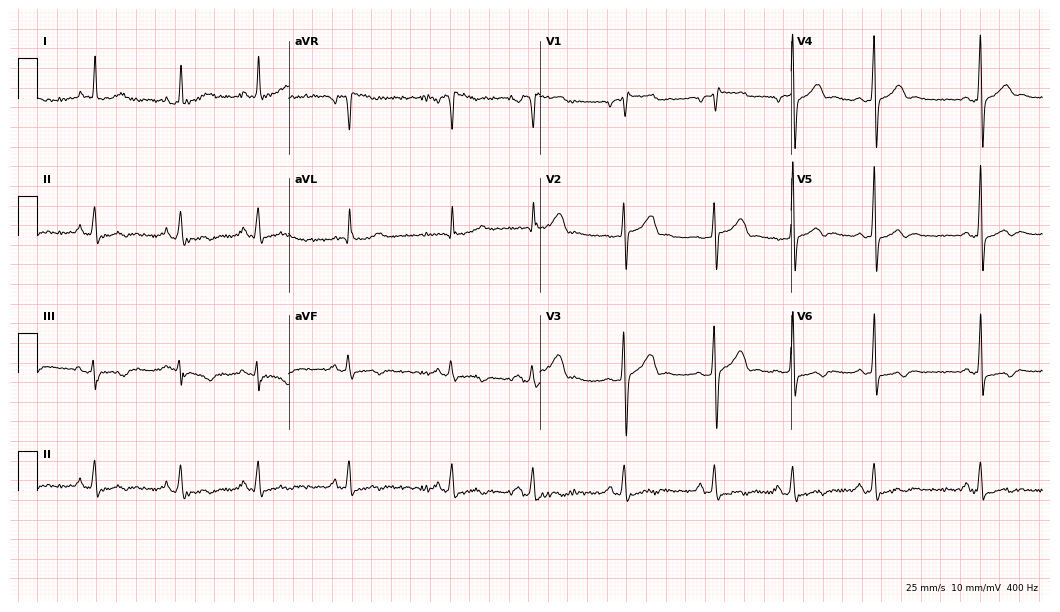
Standard 12-lead ECG recorded from a female, 42 years old (10.2-second recording at 400 Hz). Read as a normal ECG.